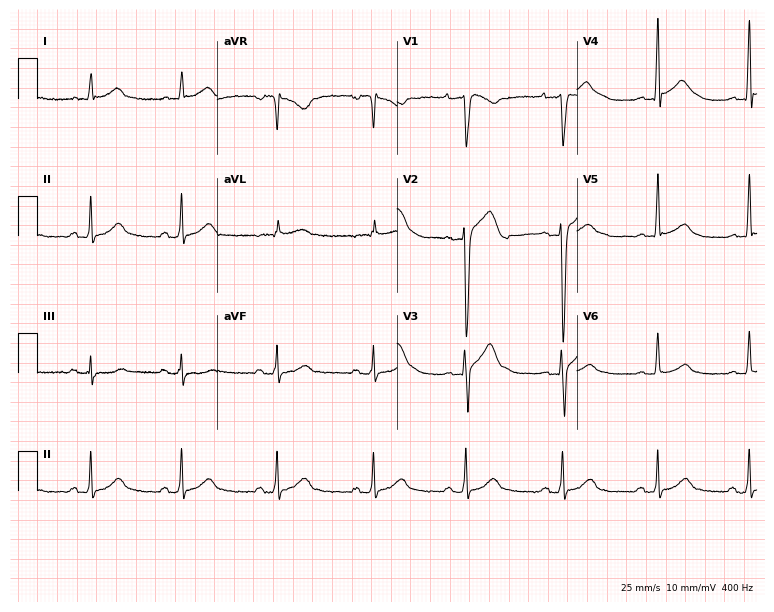
Standard 12-lead ECG recorded from a male patient, 28 years old (7.3-second recording at 400 Hz). None of these six findings is recorded: first-degree AV block, right bundle branch block, left bundle branch block, sinus bradycardia, atrial fibrillation, sinus tachycardia.